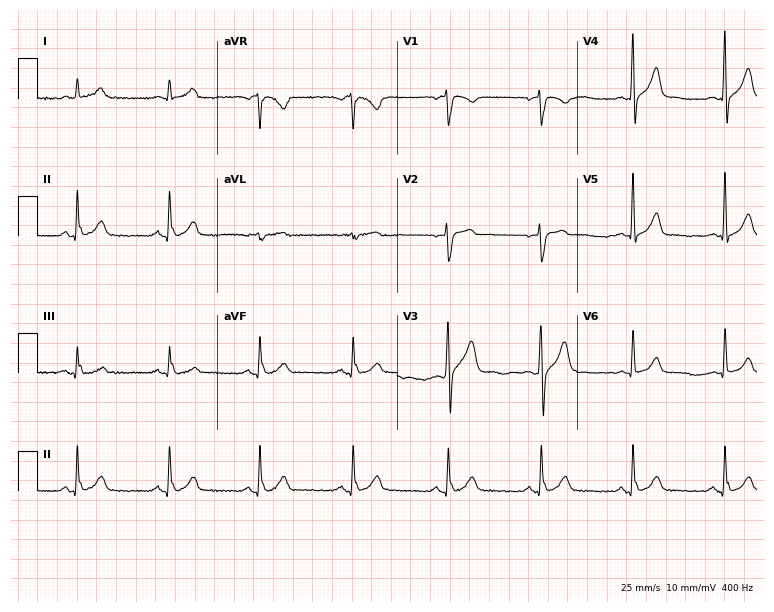
12-lead ECG (7.3-second recording at 400 Hz) from a male, 45 years old. Labelled as a normal ECG.